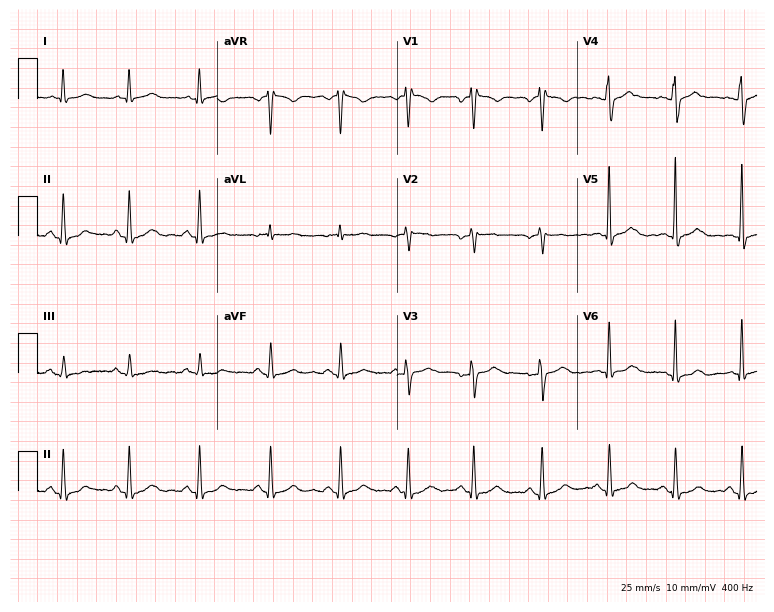
Standard 12-lead ECG recorded from a 49-year-old woman (7.3-second recording at 400 Hz). Read as a normal ECG.